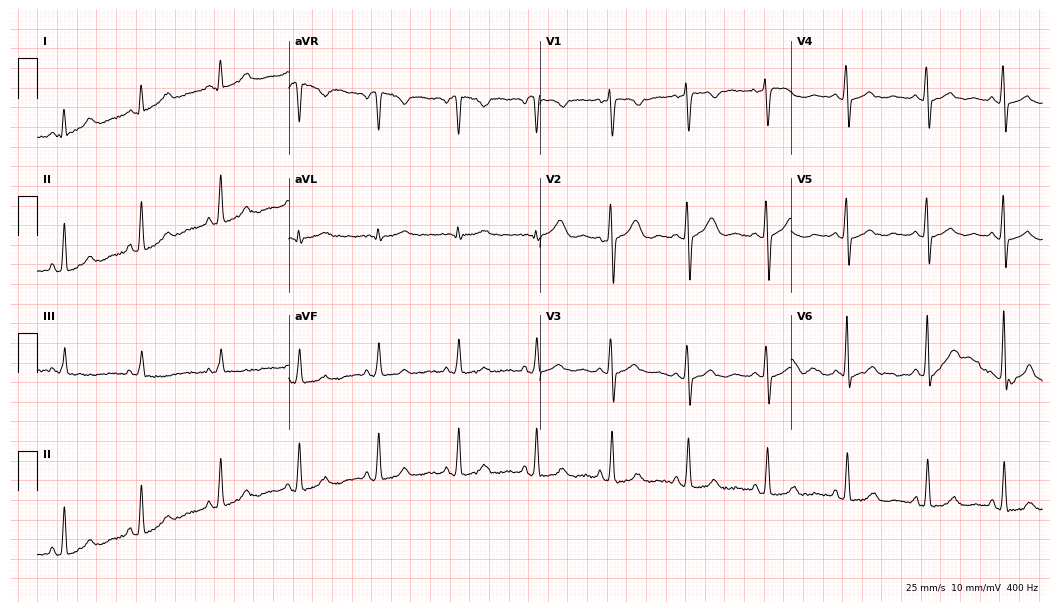
12-lead ECG from a female patient, 26 years old. Recorded interpretation: within normal limits.